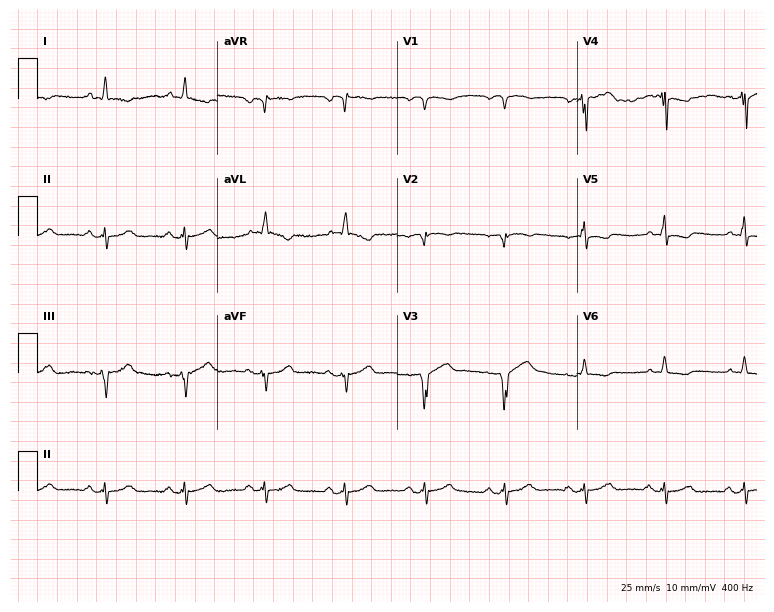
Standard 12-lead ECG recorded from a man, 80 years old (7.3-second recording at 400 Hz). None of these six findings is recorded: first-degree AV block, right bundle branch block, left bundle branch block, sinus bradycardia, atrial fibrillation, sinus tachycardia.